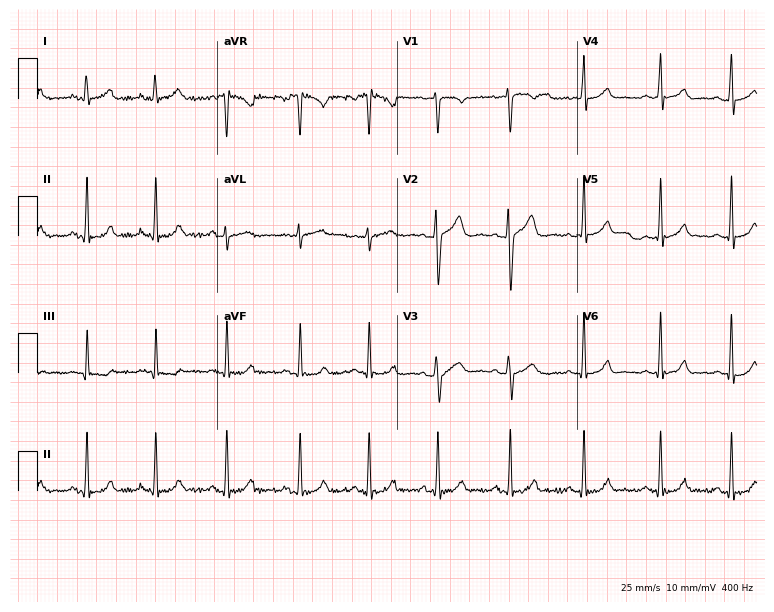
12-lead ECG from a 22-year-old female. No first-degree AV block, right bundle branch block, left bundle branch block, sinus bradycardia, atrial fibrillation or sinus tachycardia recorded for this tracing.